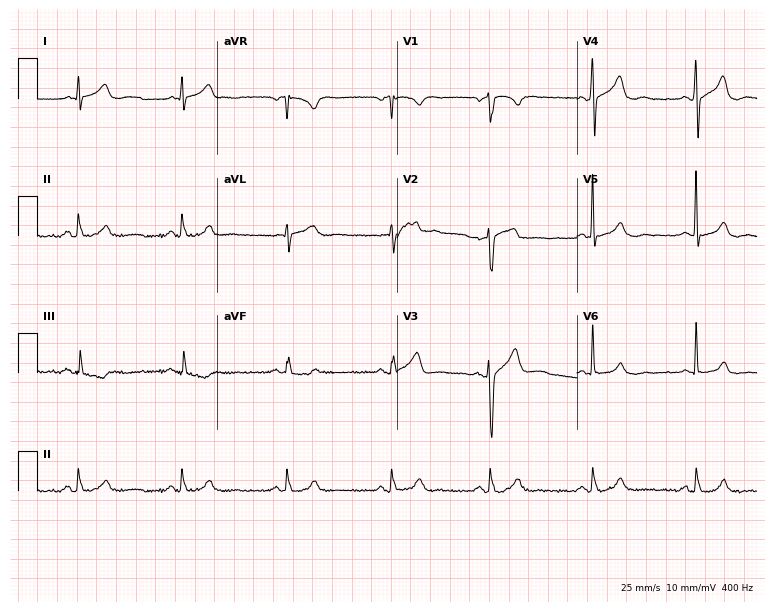
Electrocardiogram, a 36-year-old male. Overall reading on record: normal ECG.